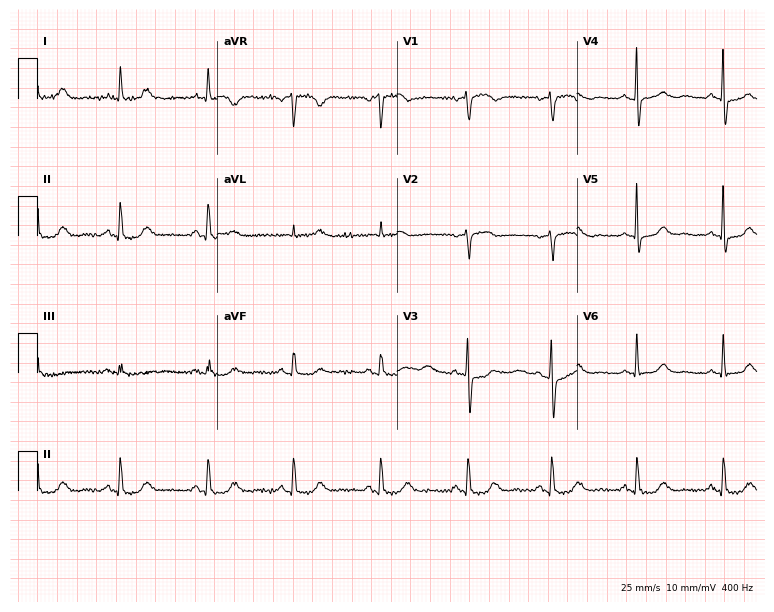
Resting 12-lead electrocardiogram (7.3-second recording at 400 Hz). Patient: a female, 57 years old. Read as a normal ECG.